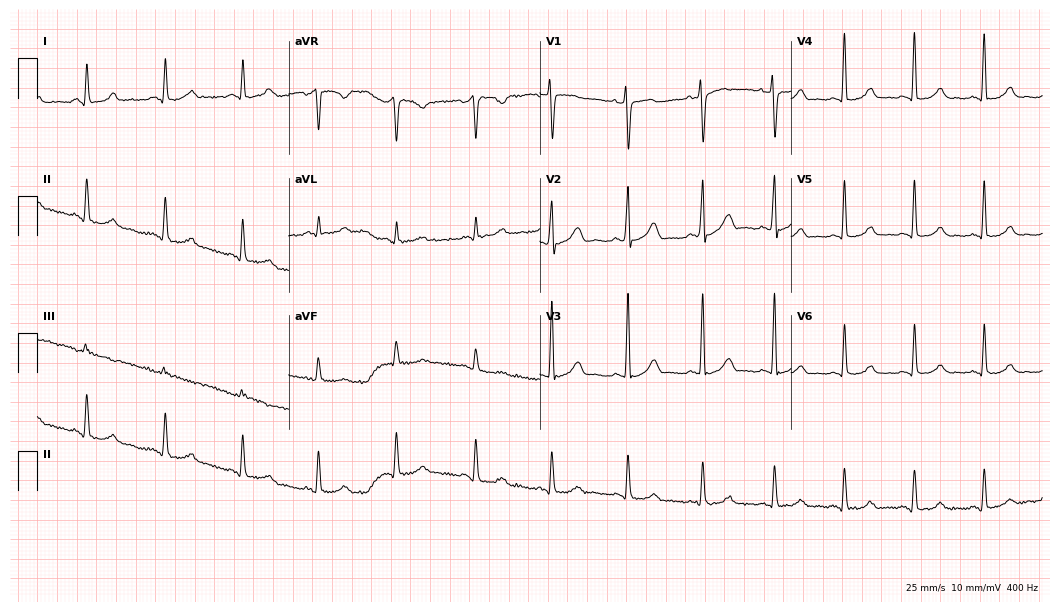
Standard 12-lead ECG recorded from a woman, 45 years old. Read as a normal ECG.